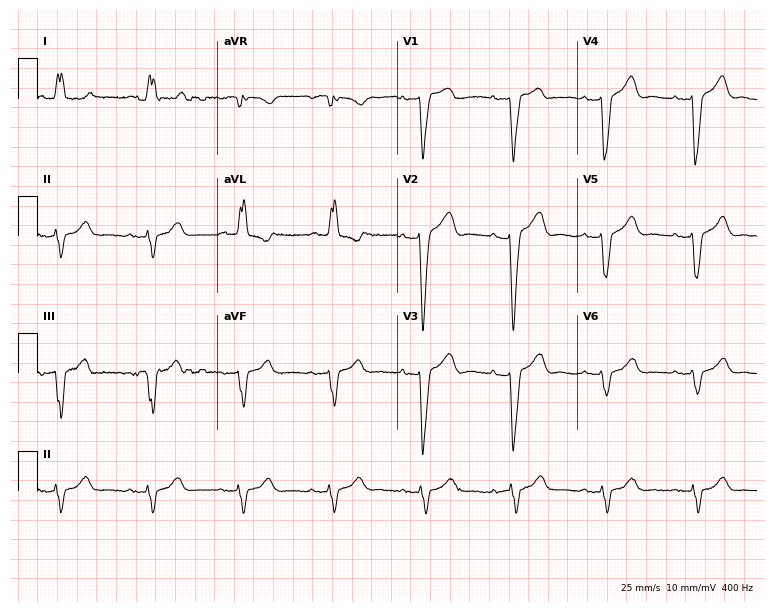
12-lead ECG (7.3-second recording at 400 Hz) from an 88-year-old female patient. Findings include left bundle branch block.